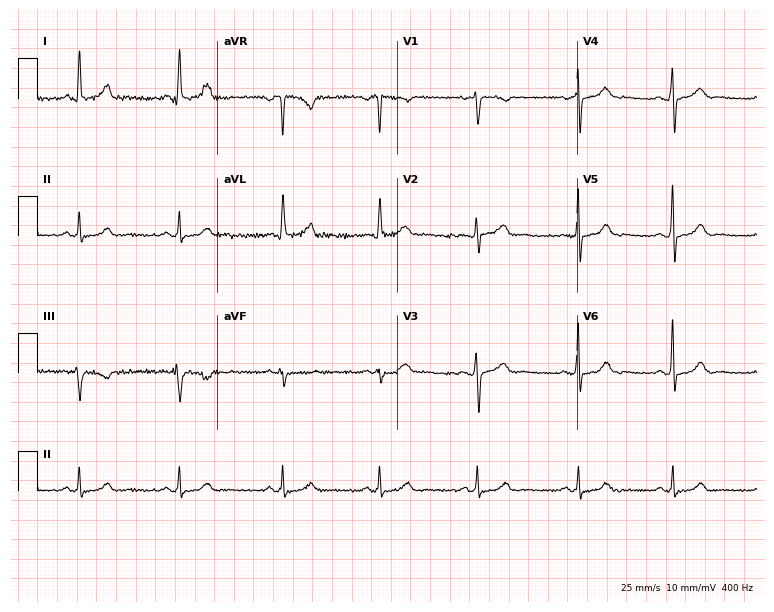
Resting 12-lead electrocardiogram. Patient: a 26-year-old woman. Read as a normal ECG.